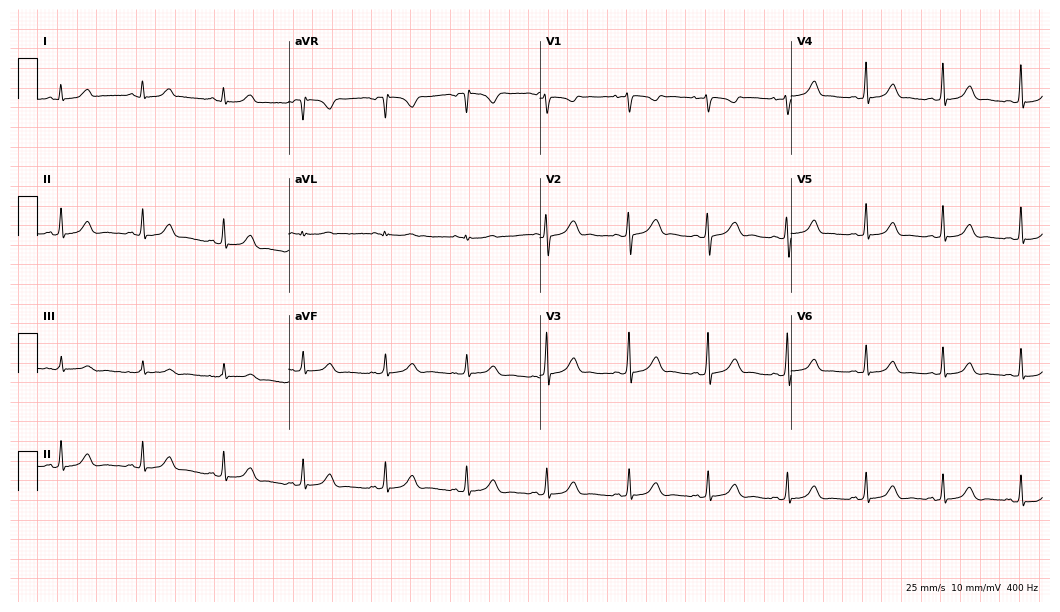
Resting 12-lead electrocardiogram. Patient: a 21-year-old female. Read as a normal ECG.